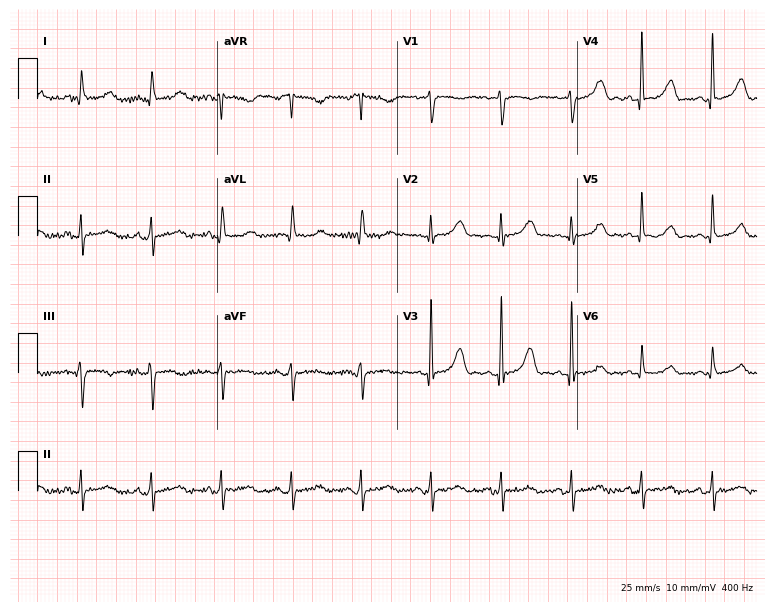
Electrocardiogram (7.3-second recording at 400 Hz), a female, 47 years old. Of the six screened findings (first-degree AV block, right bundle branch block, left bundle branch block, sinus bradycardia, atrial fibrillation, sinus tachycardia), none is recorded. Findings outside these six are not listed.